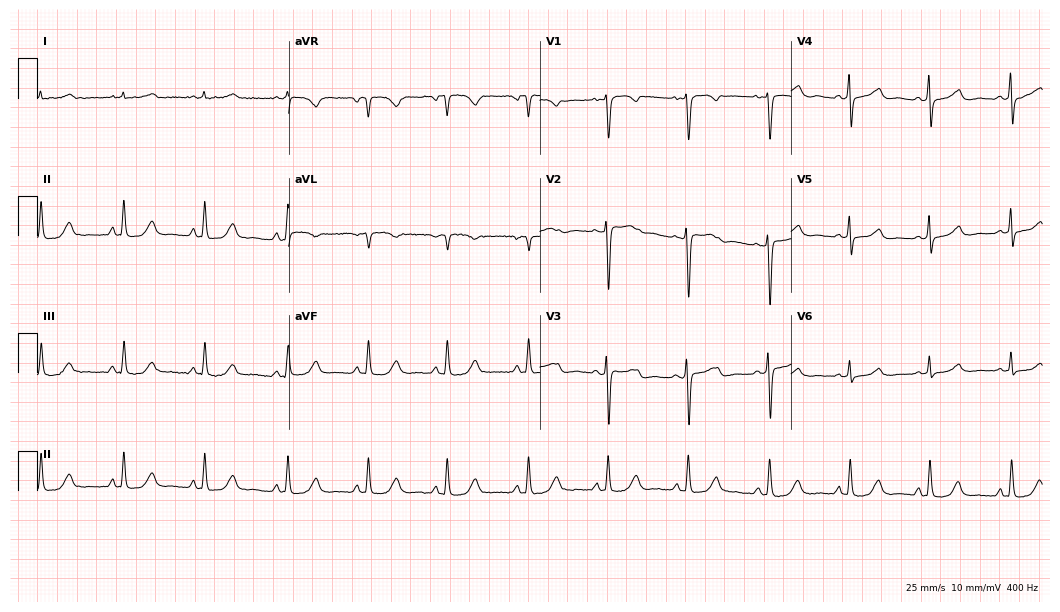
Electrocardiogram (10.2-second recording at 400 Hz), a male, 52 years old. Of the six screened findings (first-degree AV block, right bundle branch block, left bundle branch block, sinus bradycardia, atrial fibrillation, sinus tachycardia), none is recorded.